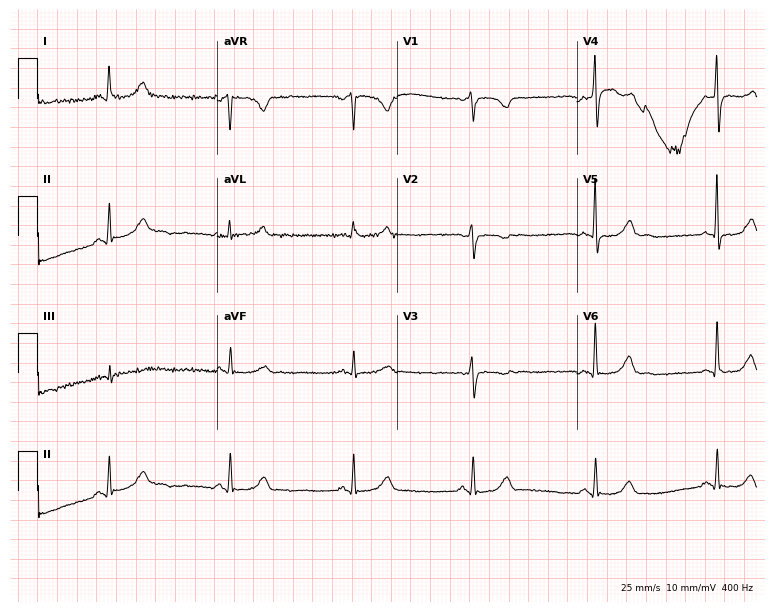
ECG — a 65-year-old woman. Findings include sinus bradycardia (a sinus rate of 50 beats per minute or less).